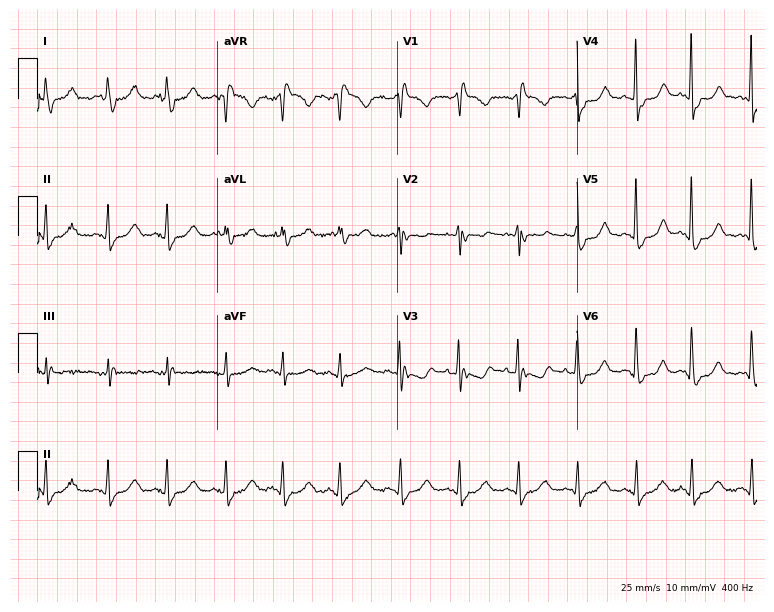
ECG (7.3-second recording at 400 Hz) — a 68-year-old female. Screened for six findings — first-degree AV block, right bundle branch block, left bundle branch block, sinus bradycardia, atrial fibrillation, sinus tachycardia — none is recorded.